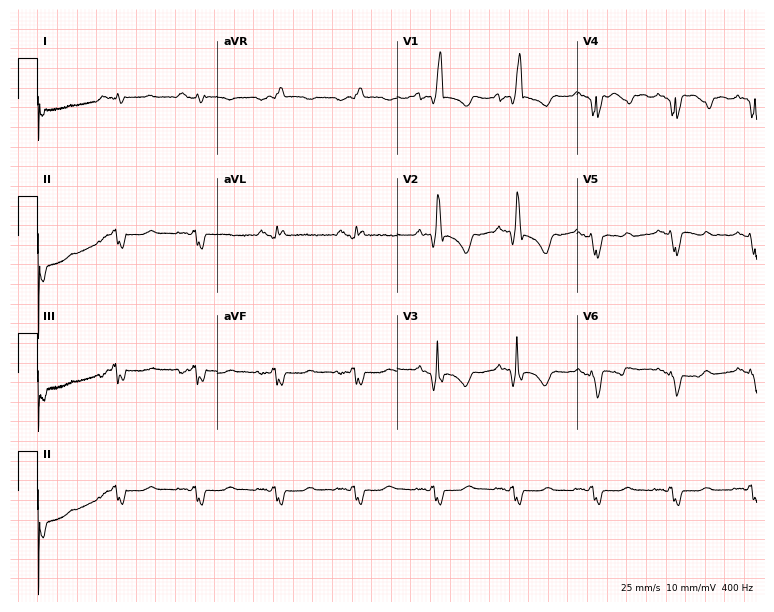
Resting 12-lead electrocardiogram (7.3-second recording at 400 Hz). Patient: a male, 47 years old. The tracing shows right bundle branch block.